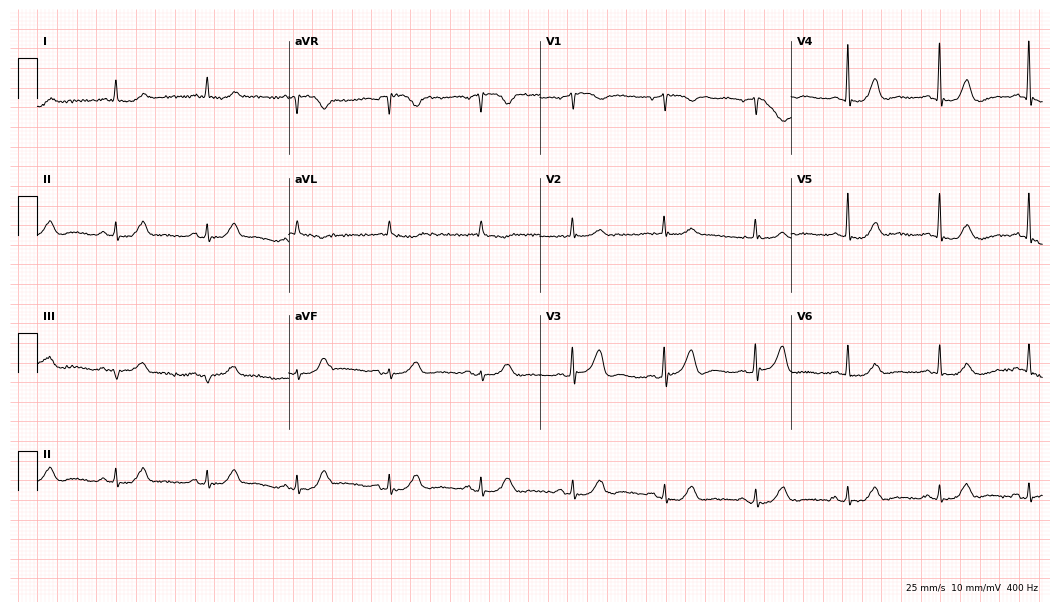
12-lead ECG from an 86-year-old female (10.2-second recording at 400 Hz). Recorded interpretation: within normal limits.